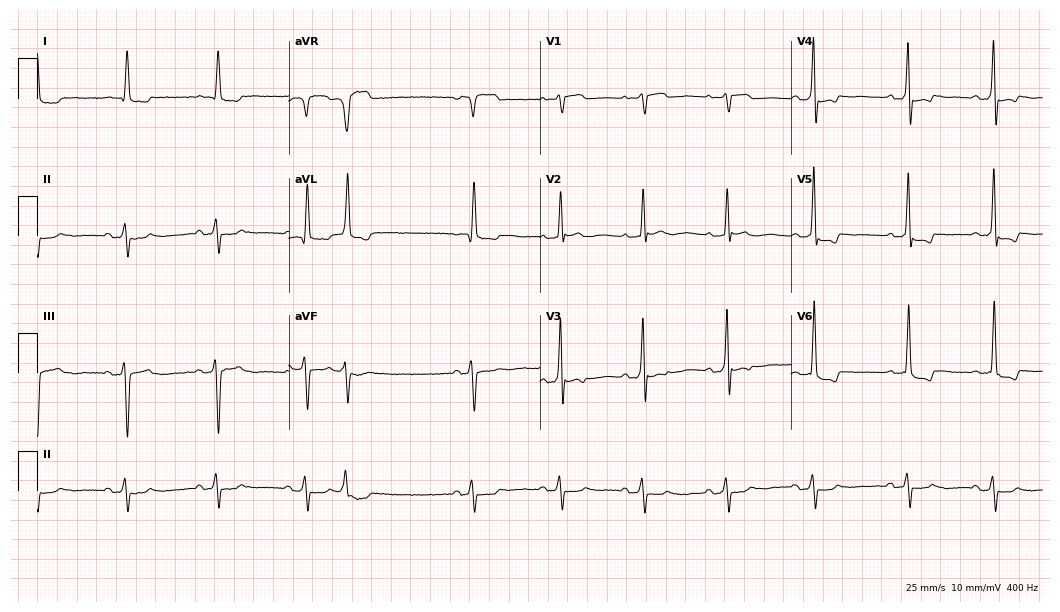
12-lead ECG (10.2-second recording at 400 Hz) from a man, 75 years old. Screened for six findings — first-degree AV block, right bundle branch block (RBBB), left bundle branch block (LBBB), sinus bradycardia, atrial fibrillation (AF), sinus tachycardia — none is recorded. Other findings, if any, are not listed.